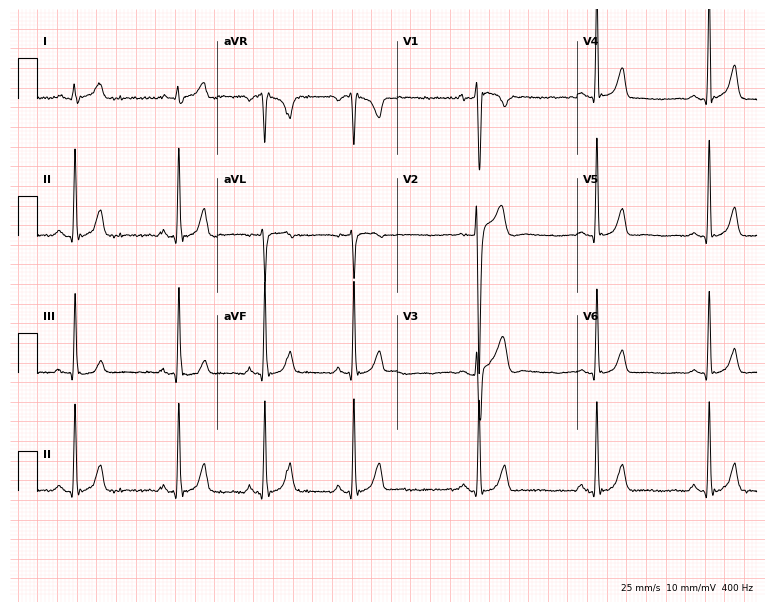
Electrocardiogram, a male, 21 years old. Overall reading on record: normal ECG.